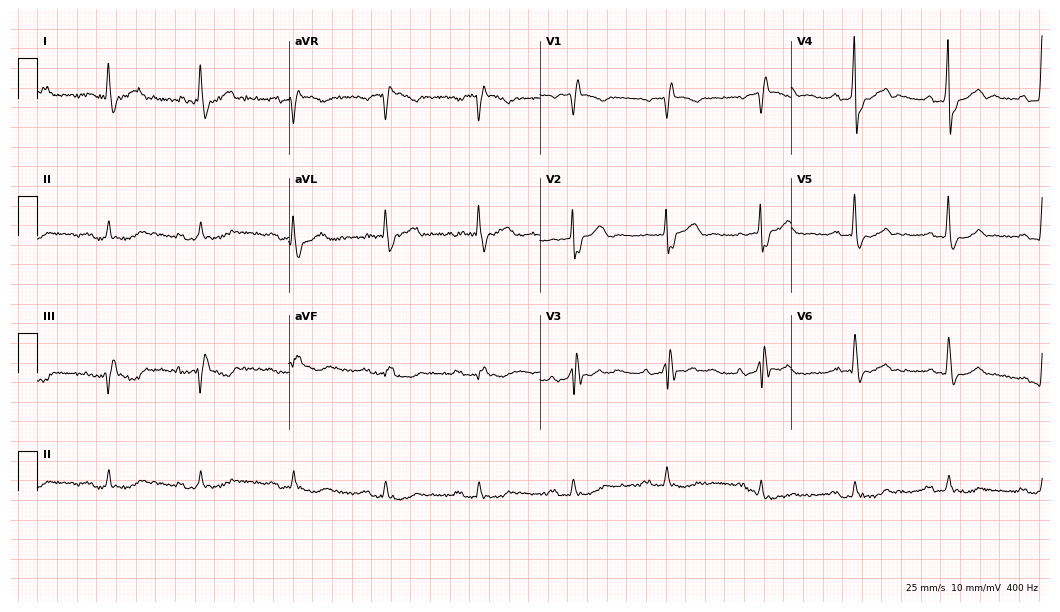
ECG — a male, 80 years old. Findings include right bundle branch block (RBBB).